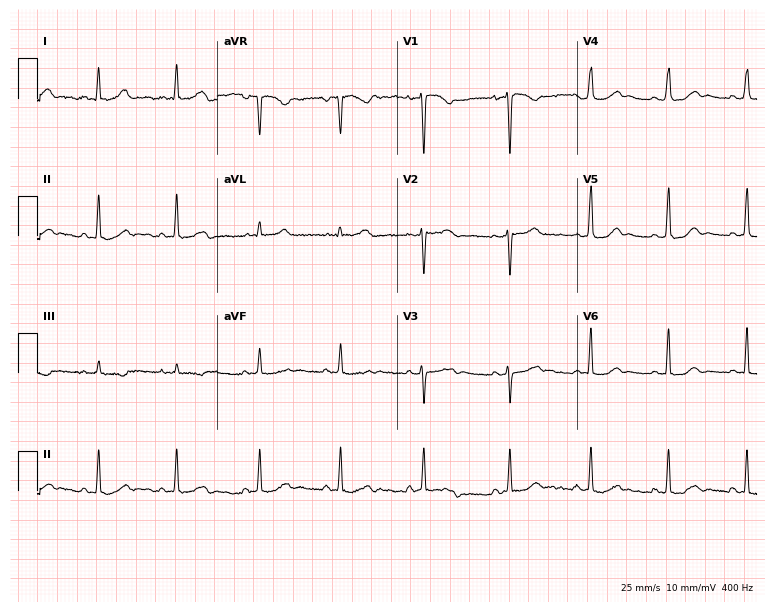
Resting 12-lead electrocardiogram. Patient: a 31-year-old female. None of these six findings is recorded: first-degree AV block, right bundle branch block, left bundle branch block, sinus bradycardia, atrial fibrillation, sinus tachycardia. Only these six findings were labelled.